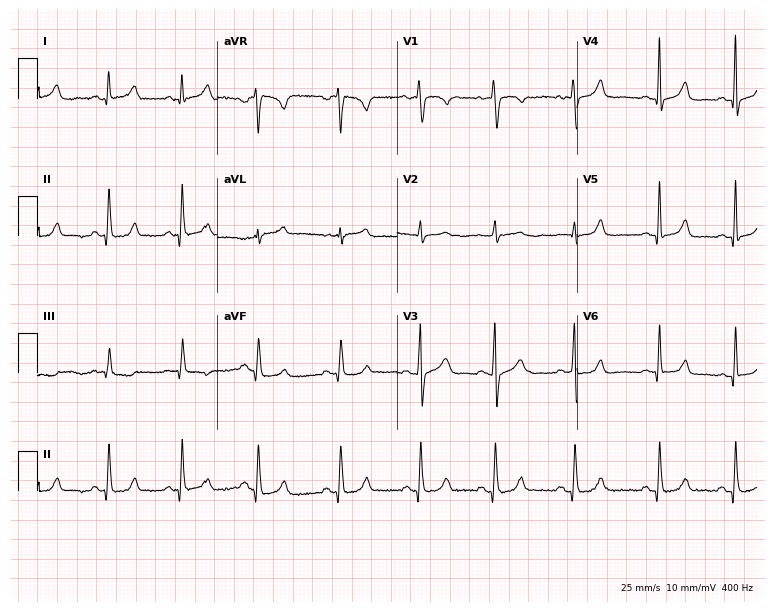
Resting 12-lead electrocardiogram (7.3-second recording at 400 Hz). Patient: a female, 27 years old. Read as a normal ECG.